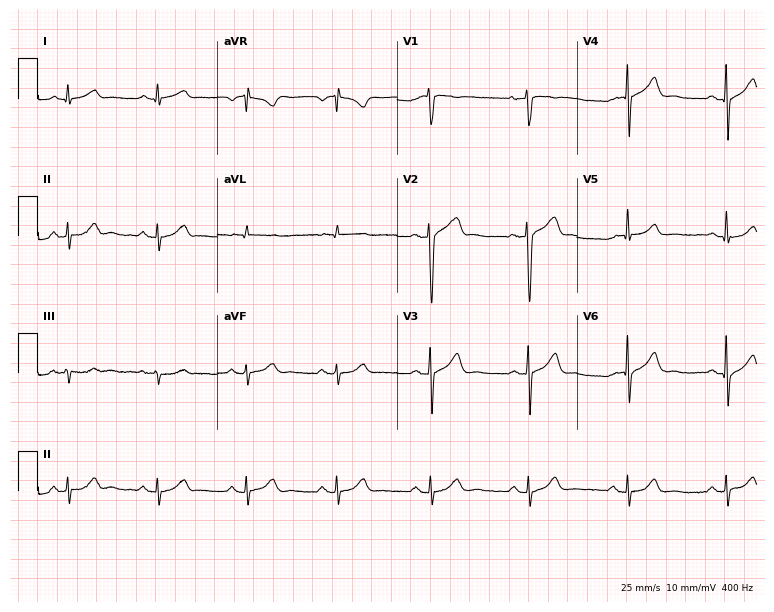
Standard 12-lead ECG recorded from a male, 40 years old (7.3-second recording at 400 Hz). Read as a normal ECG.